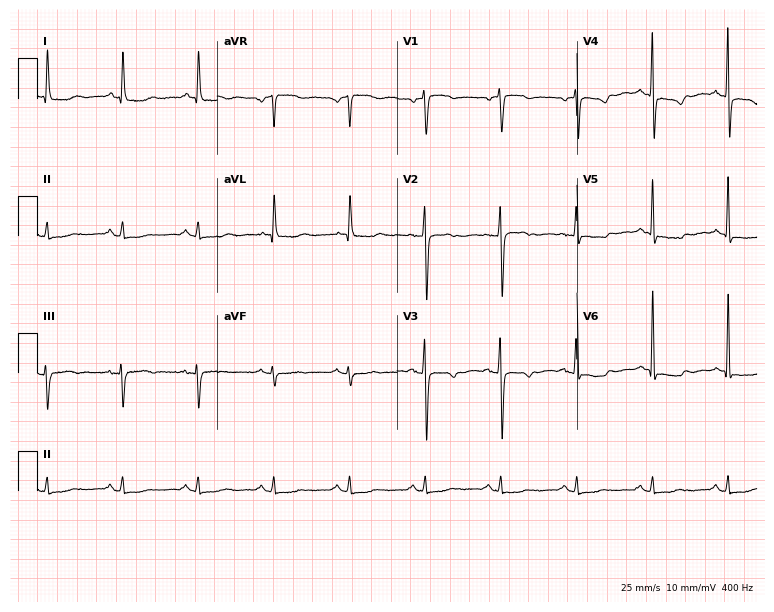
ECG (7.3-second recording at 400 Hz) — a 76-year-old female. Screened for six findings — first-degree AV block, right bundle branch block, left bundle branch block, sinus bradycardia, atrial fibrillation, sinus tachycardia — none is recorded.